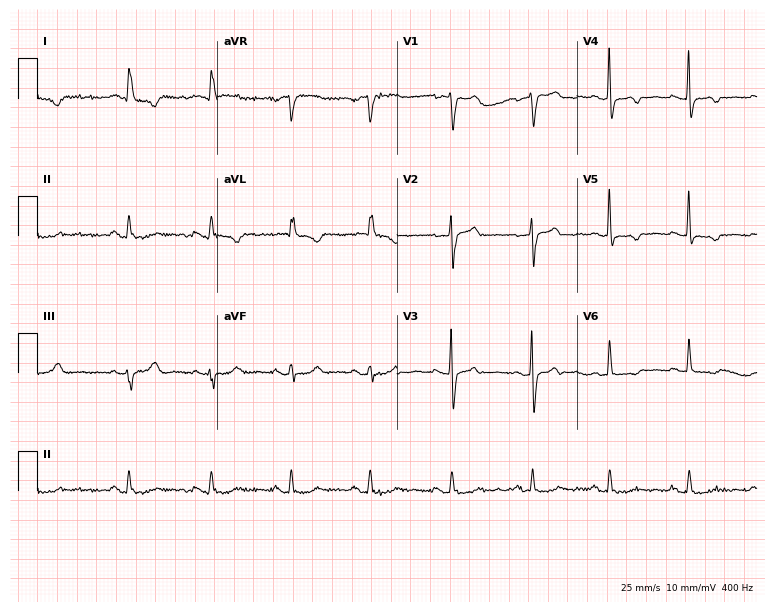
Resting 12-lead electrocardiogram (7.3-second recording at 400 Hz). Patient: a 77-year-old woman. None of these six findings is recorded: first-degree AV block, right bundle branch block (RBBB), left bundle branch block (LBBB), sinus bradycardia, atrial fibrillation (AF), sinus tachycardia.